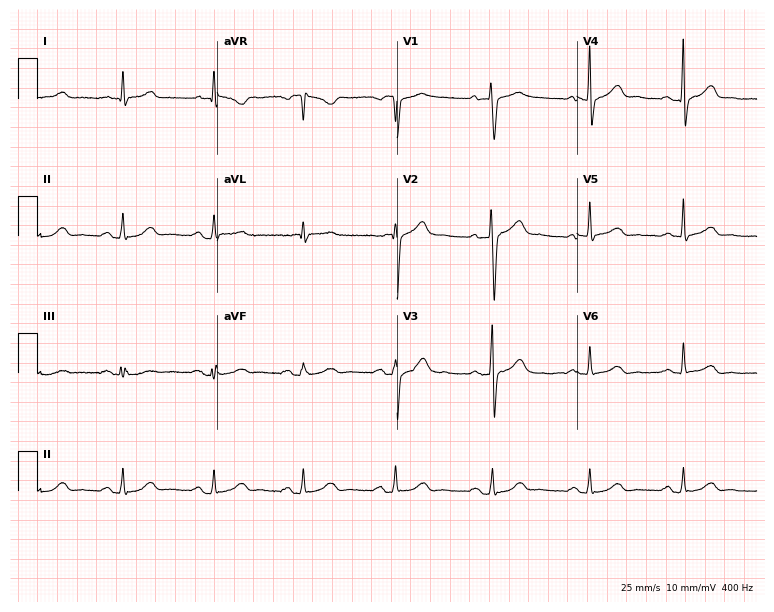
Electrocardiogram (7.3-second recording at 400 Hz), a male, 48 years old. Overall reading on record: normal ECG.